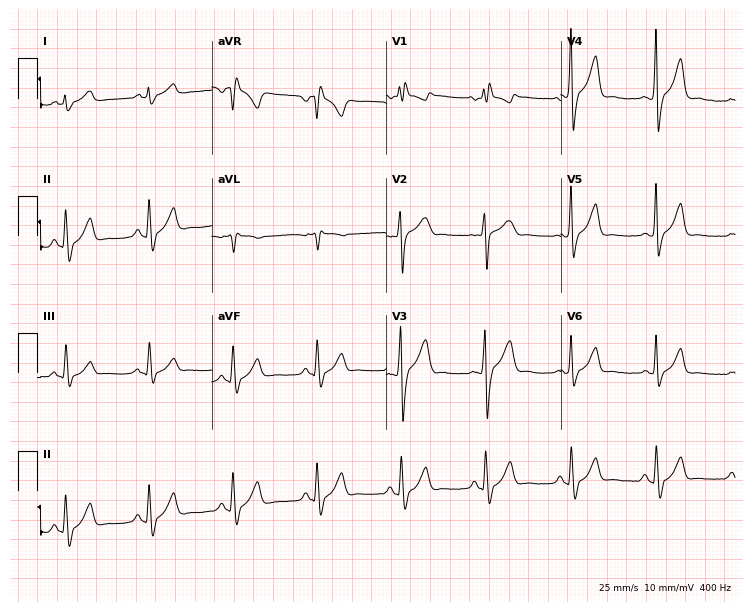
Electrocardiogram, a male patient, 50 years old. Interpretation includes right bundle branch block.